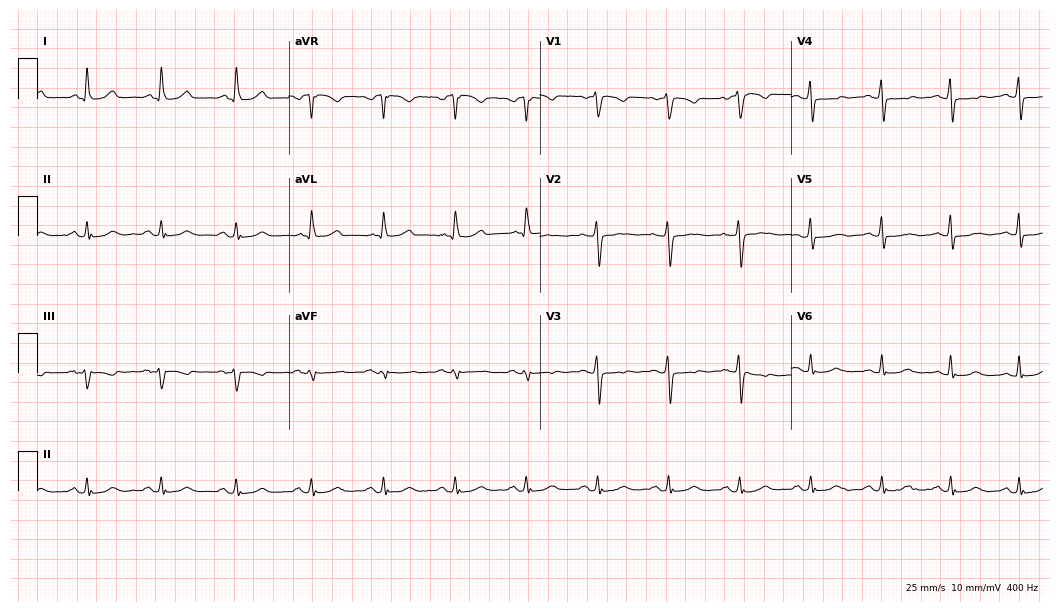
Electrocardiogram (10.2-second recording at 400 Hz), a 67-year-old woman. Overall reading on record: normal ECG.